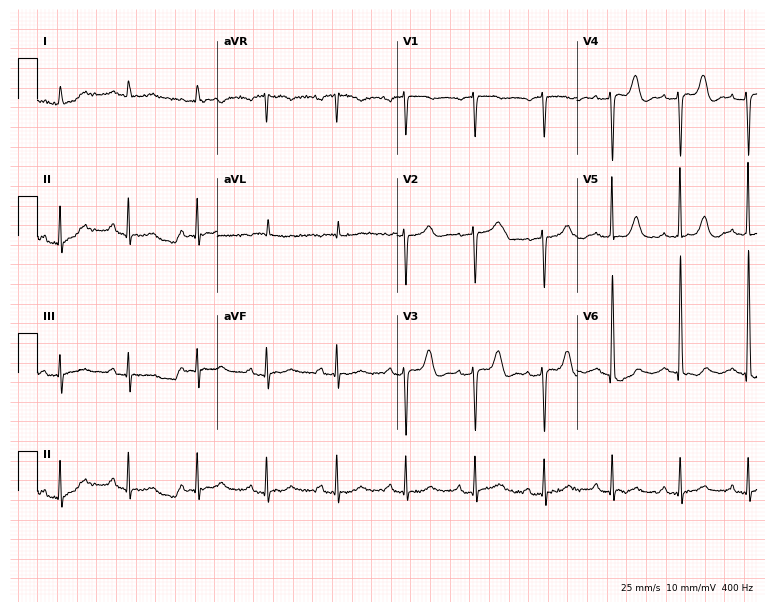
12-lead ECG from an 82-year-old female patient (7.3-second recording at 400 Hz). No first-degree AV block, right bundle branch block (RBBB), left bundle branch block (LBBB), sinus bradycardia, atrial fibrillation (AF) or sinus tachycardia recorded for this tracing. Findings outside these six are not listed.